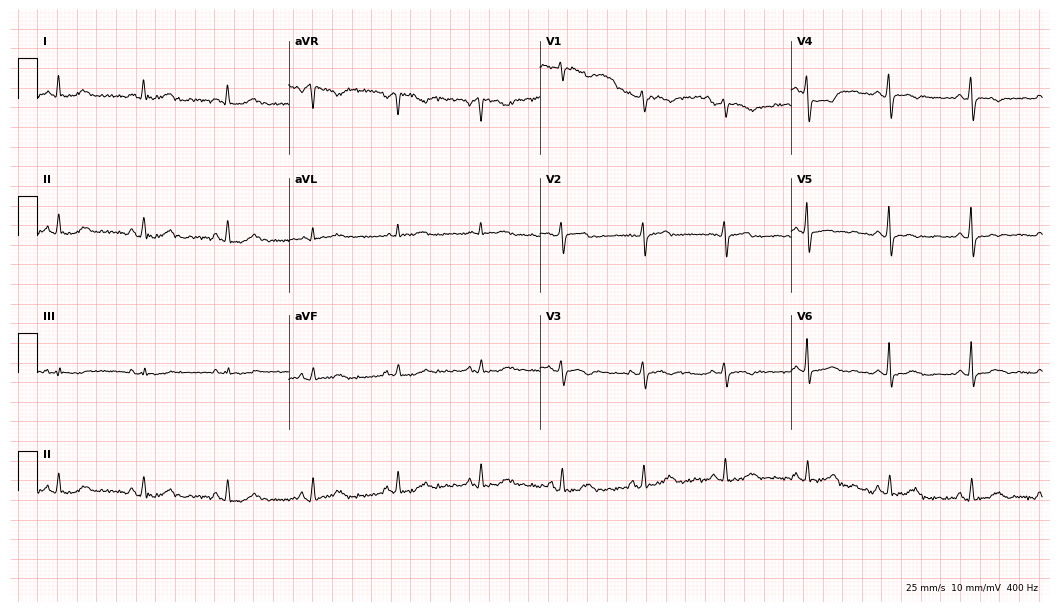
12-lead ECG from a woman, 60 years old. No first-degree AV block, right bundle branch block, left bundle branch block, sinus bradycardia, atrial fibrillation or sinus tachycardia recorded for this tracing. Findings outside these six are not listed.